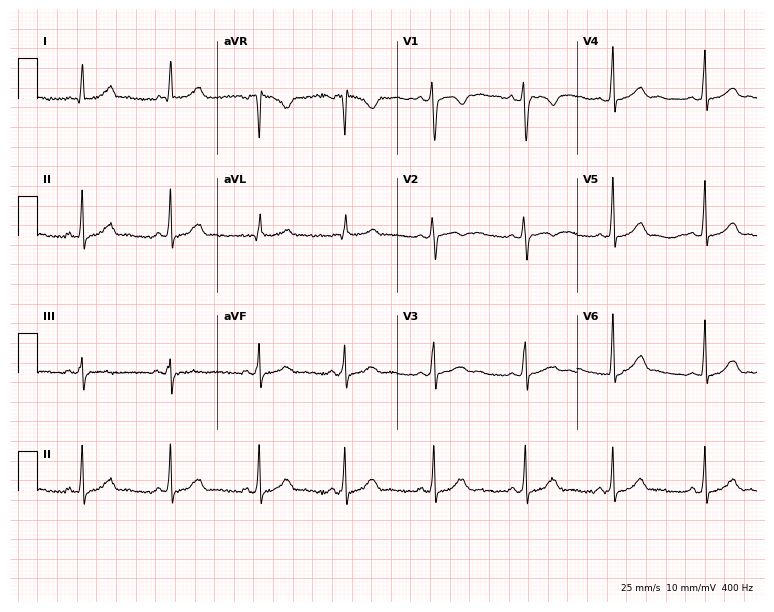
ECG — a 23-year-old female patient. Labelled as a normal ECG.